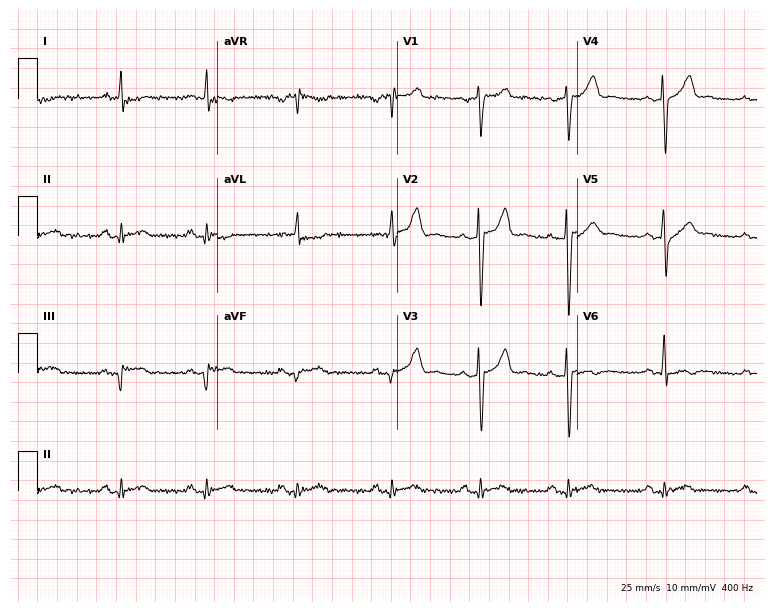
Standard 12-lead ECG recorded from a man, 42 years old. None of these six findings is recorded: first-degree AV block, right bundle branch block, left bundle branch block, sinus bradycardia, atrial fibrillation, sinus tachycardia.